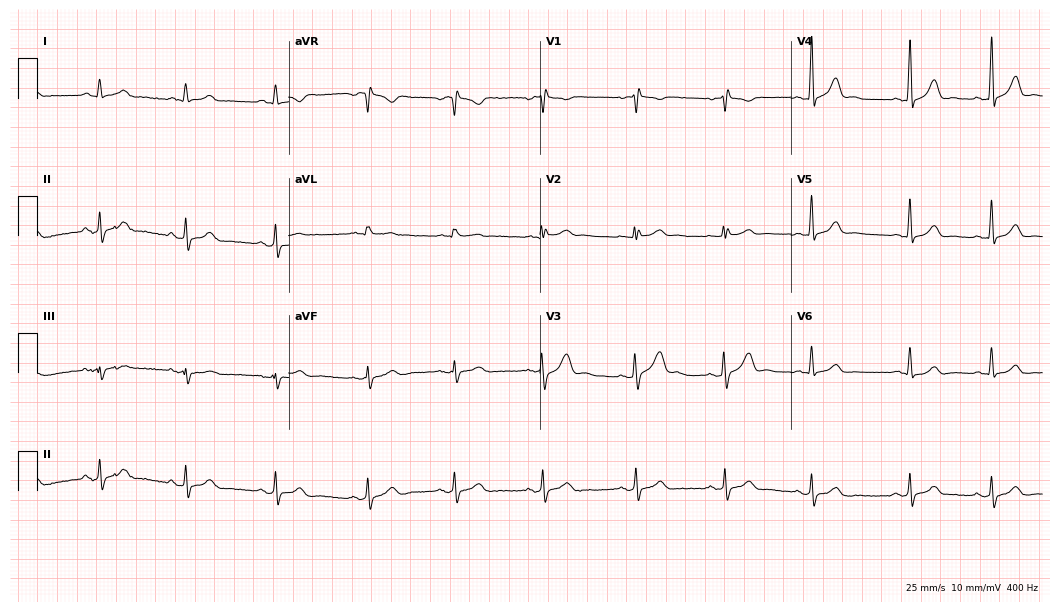
12-lead ECG from a 31-year-old female patient (10.2-second recording at 400 Hz). No first-degree AV block, right bundle branch block (RBBB), left bundle branch block (LBBB), sinus bradycardia, atrial fibrillation (AF) or sinus tachycardia recorded for this tracing. Other findings, if any, are not listed.